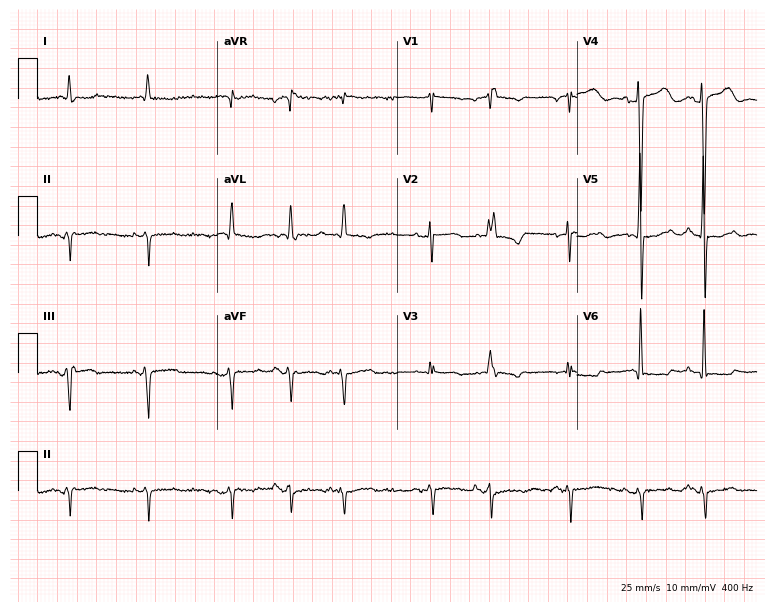
Standard 12-lead ECG recorded from a 73-year-old female patient. None of these six findings is recorded: first-degree AV block, right bundle branch block, left bundle branch block, sinus bradycardia, atrial fibrillation, sinus tachycardia. Findings outside these six are not listed.